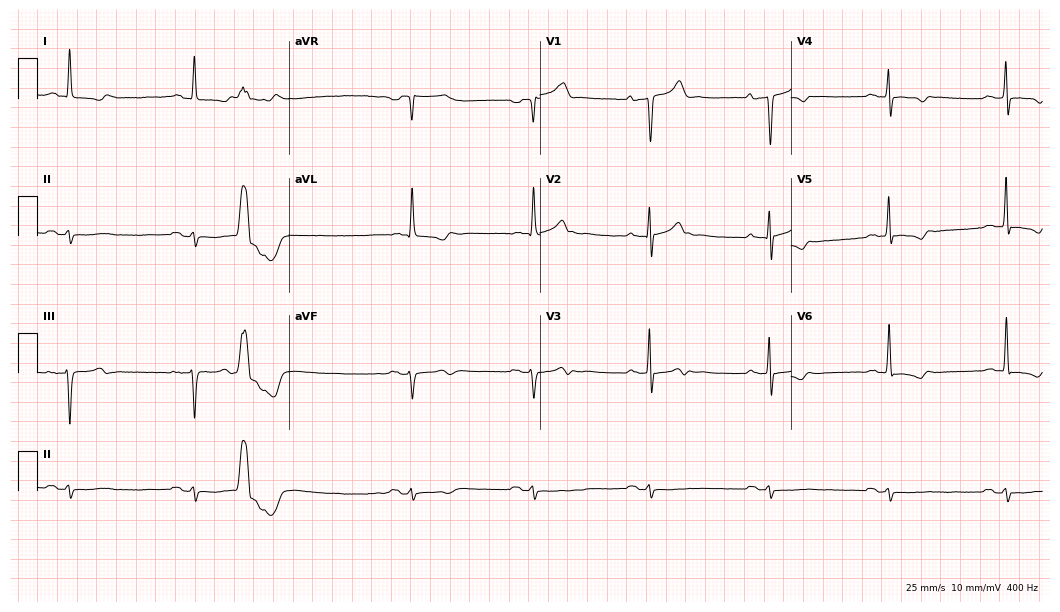
12-lead ECG from a male, 73 years old. Shows first-degree AV block.